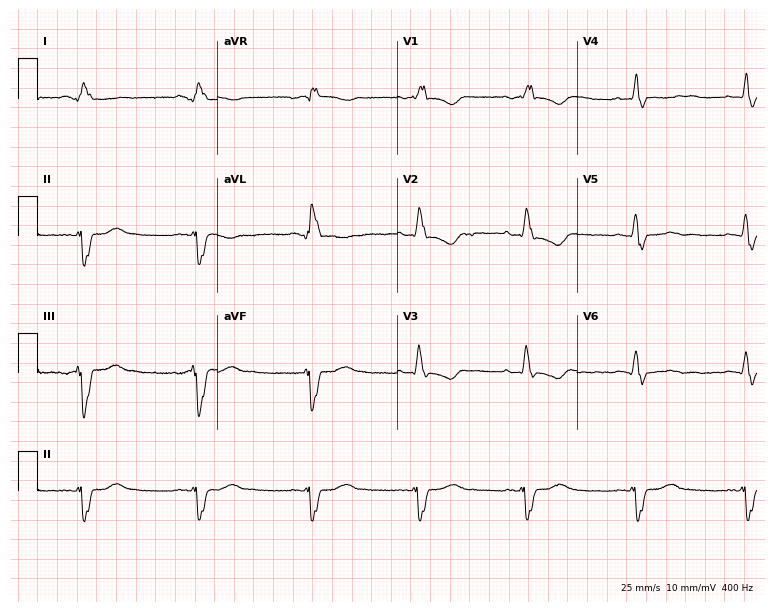
12-lead ECG from a 53-year-old female (7.3-second recording at 400 Hz). Shows right bundle branch block.